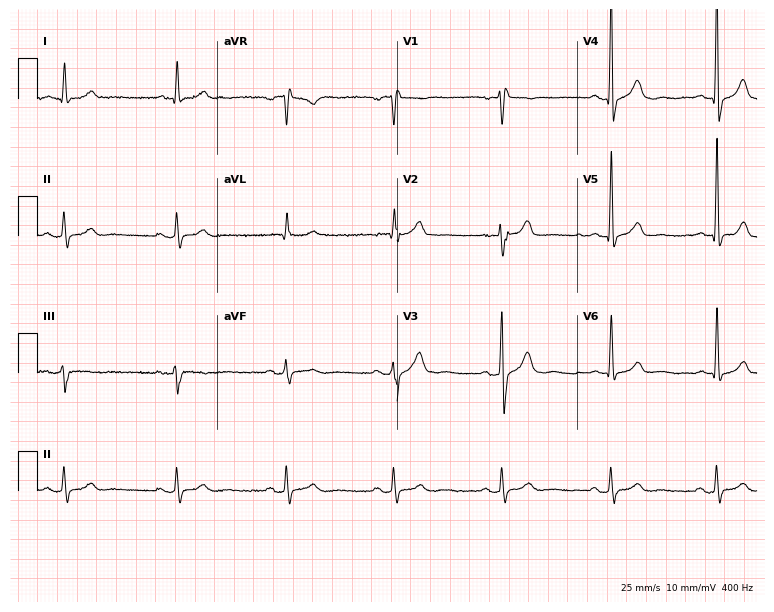
Electrocardiogram, a male patient, 72 years old. Of the six screened findings (first-degree AV block, right bundle branch block, left bundle branch block, sinus bradycardia, atrial fibrillation, sinus tachycardia), none is recorded.